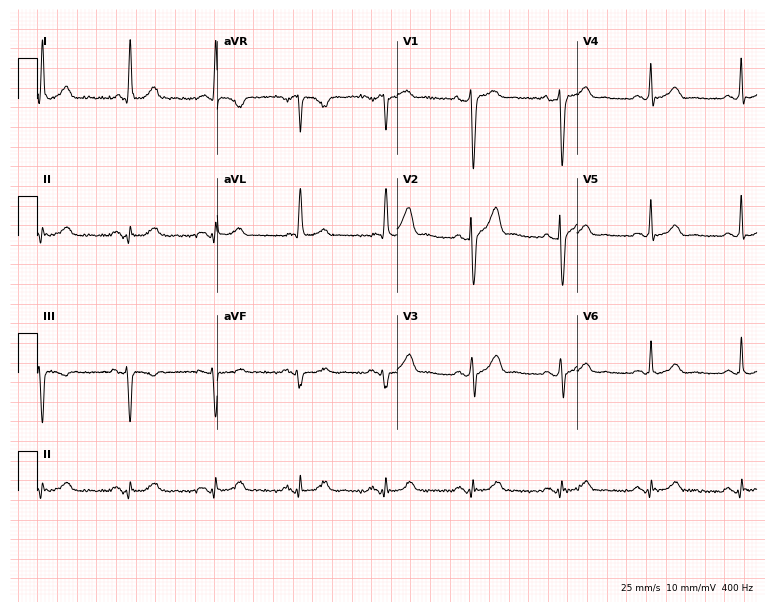
12-lead ECG (7.3-second recording at 400 Hz) from a 63-year-old male. Labelled as a normal ECG.